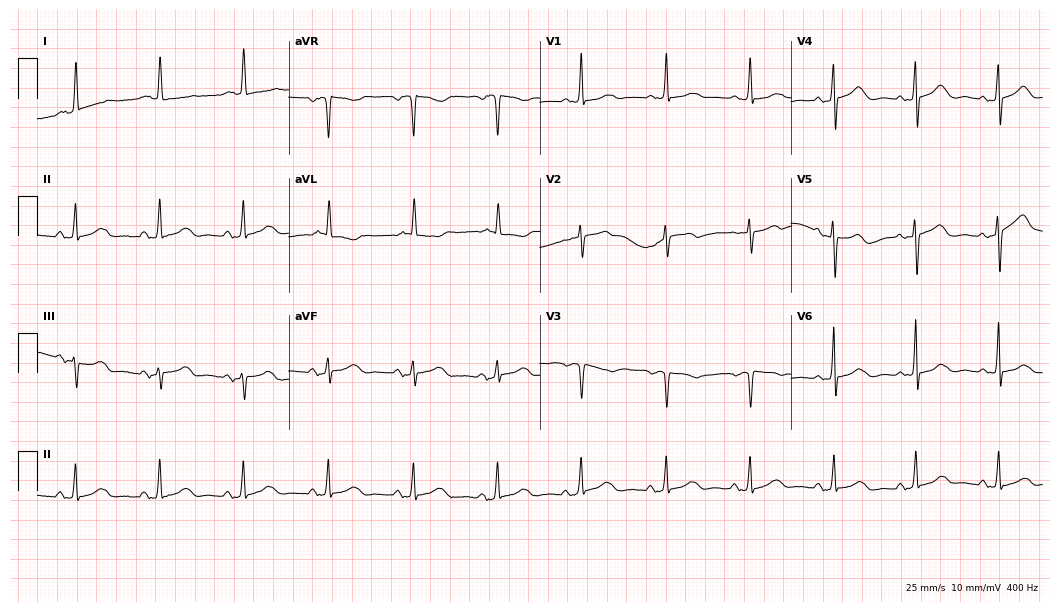
Resting 12-lead electrocardiogram (10.2-second recording at 400 Hz). Patient: a woman, 82 years old. None of these six findings is recorded: first-degree AV block, right bundle branch block, left bundle branch block, sinus bradycardia, atrial fibrillation, sinus tachycardia.